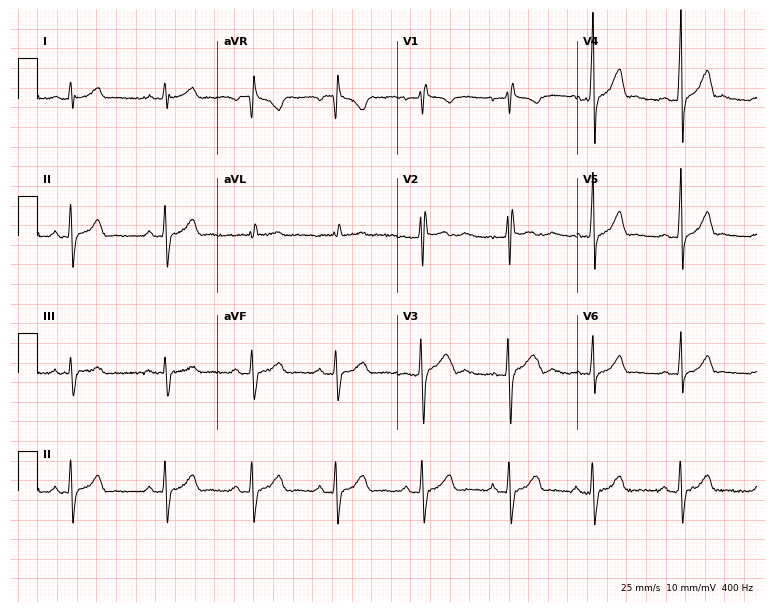
Resting 12-lead electrocardiogram (7.3-second recording at 400 Hz). Patient: a male, 19 years old. None of these six findings is recorded: first-degree AV block, right bundle branch block, left bundle branch block, sinus bradycardia, atrial fibrillation, sinus tachycardia. Other findings, if any, are not listed.